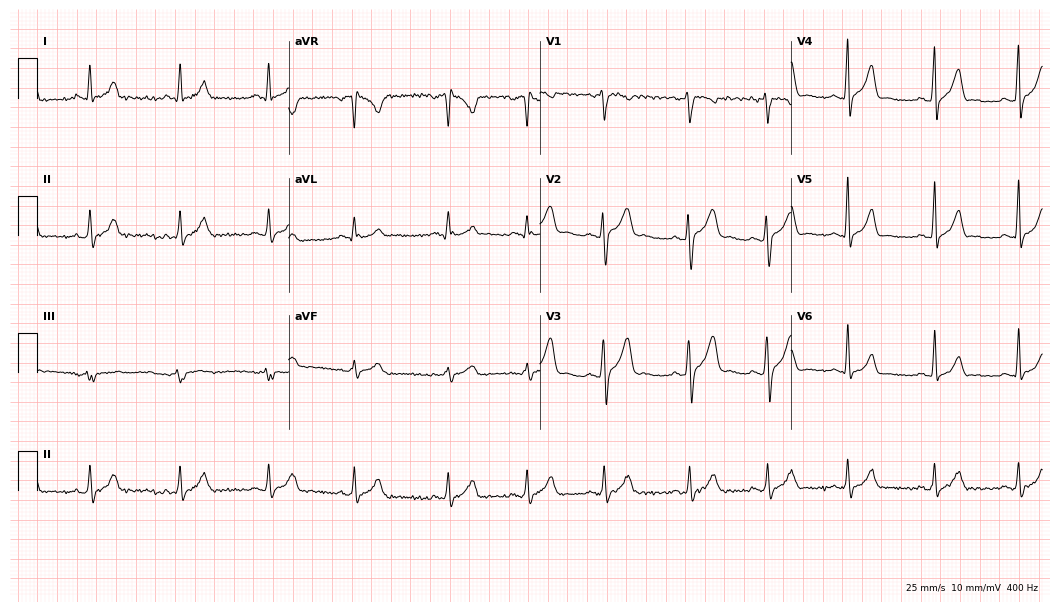
12-lead ECG (10.2-second recording at 400 Hz) from a male, 21 years old. Labelled as a normal ECG.